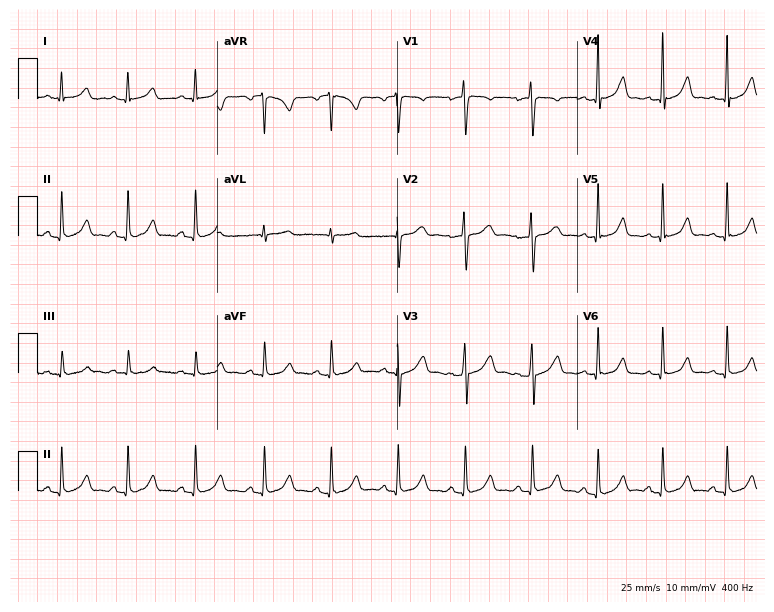
ECG (7.3-second recording at 400 Hz) — a female, 29 years old. Labelled as a normal ECG.